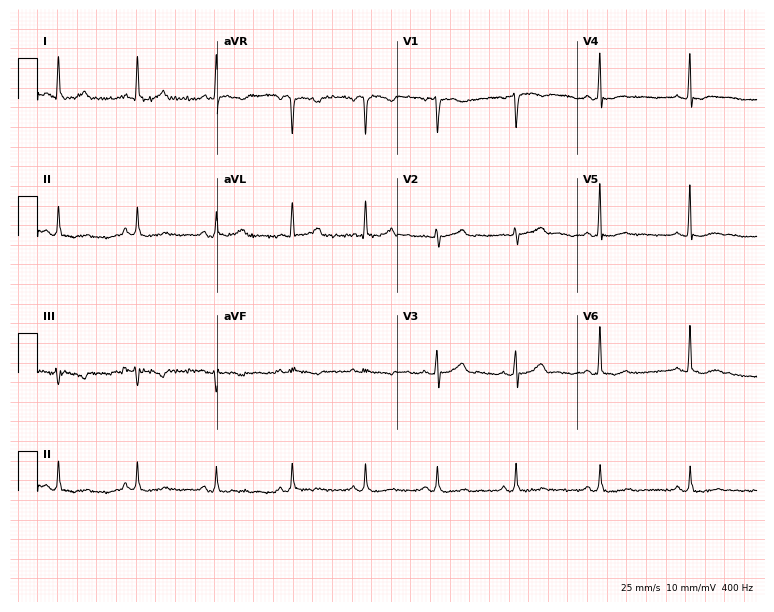
12-lead ECG (7.3-second recording at 400 Hz) from a 51-year-old female. Screened for six findings — first-degree AV block, right bundle branch block, left bundle branch block, sinus bradycardia, atrial fibrillation, sinus tachycardia — none is recorded. Findings outside these six are not listed.